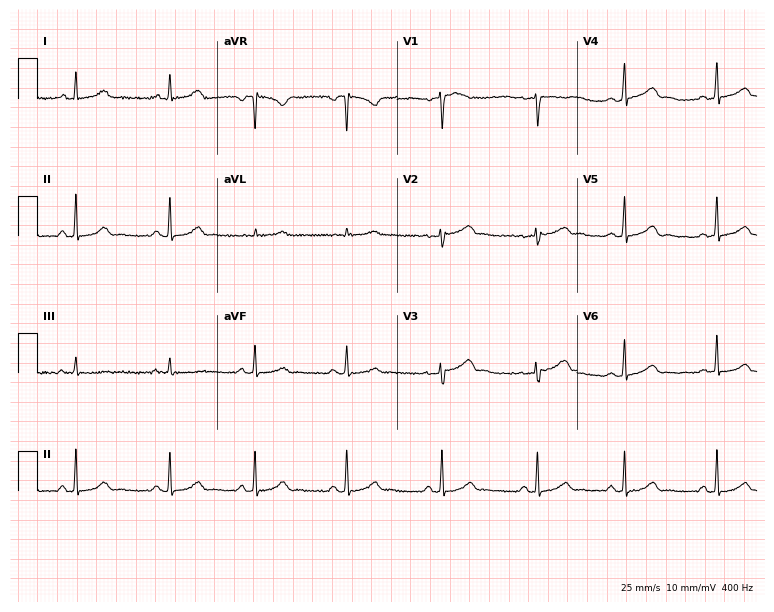
Resting 12-lead electrocardiogram (7.3-second recording at 400 Hz). Patient: a 31-year-old female. Read as a normal ECG.